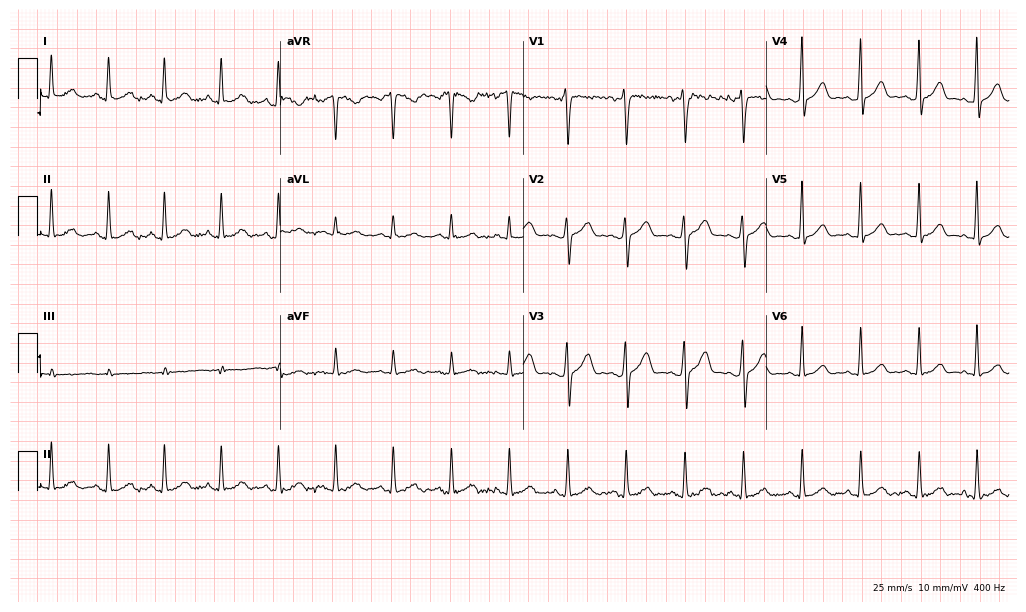
Electrocardiogram, a female, 18 years old. Overall reading on record: normal ECG.